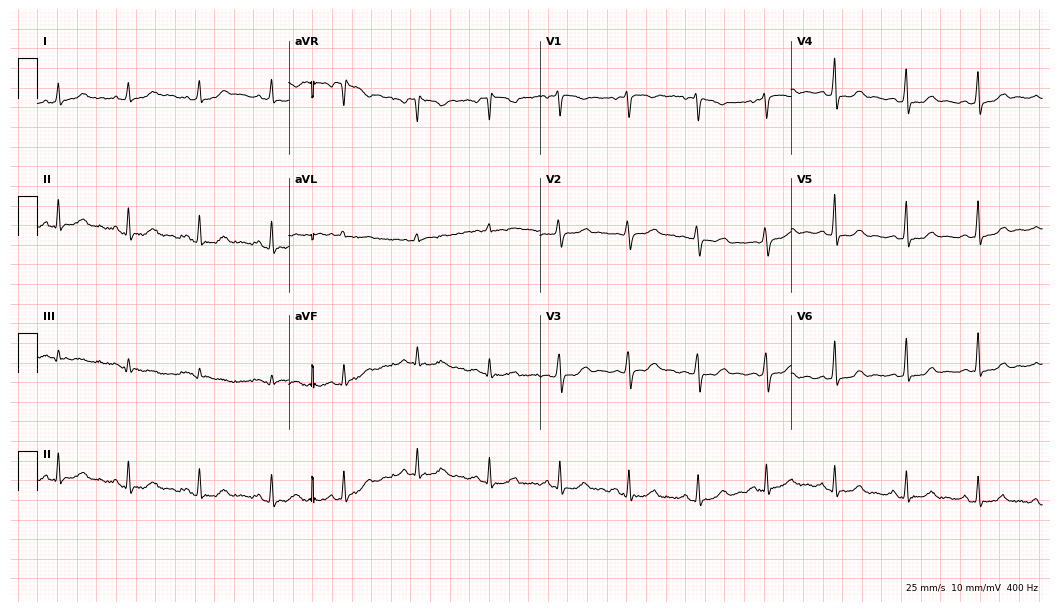
12-lead ECG from a 56-year-old woman. Recorded interpretation: within normal limits.